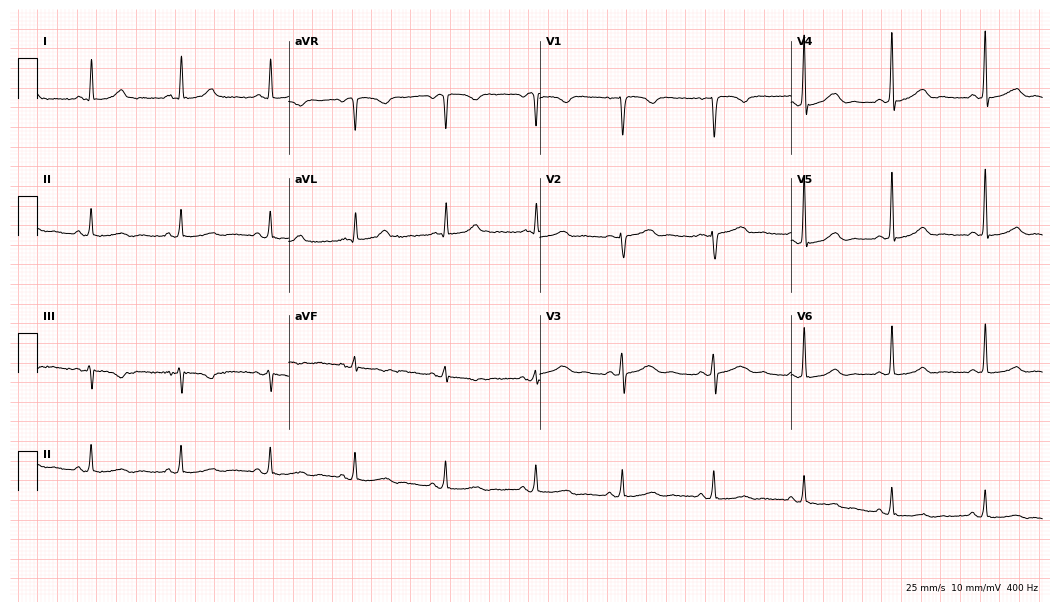
Resting 12-lead electrocardiogram. Patient: a 37-year-old woman. Read as a normal ECG.